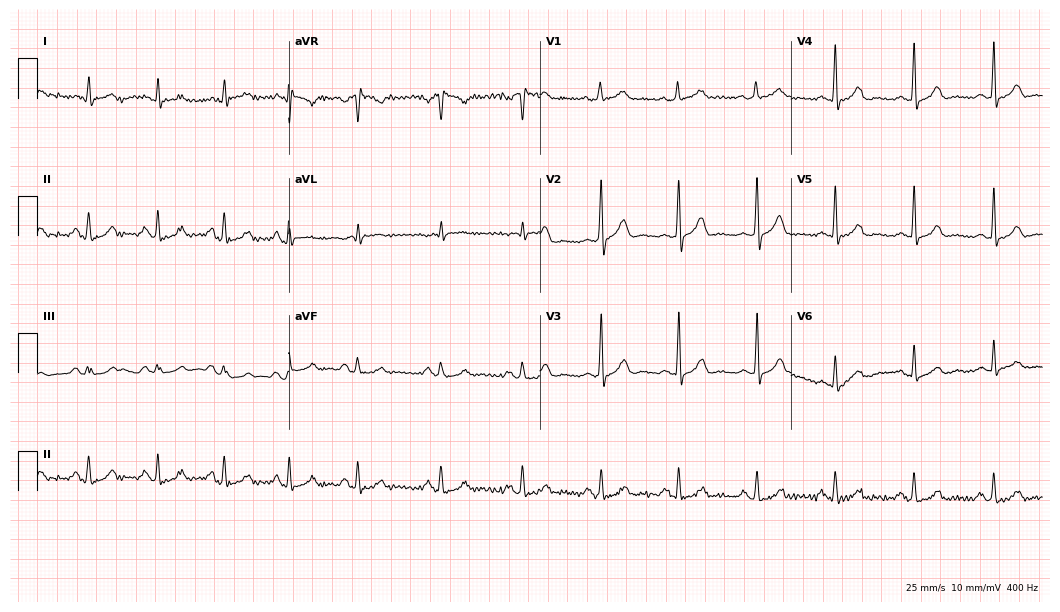
12-lead ECG (10.2-second recording at 400 Hz) from a man, 65 years old. Labelled as a normal ECG.